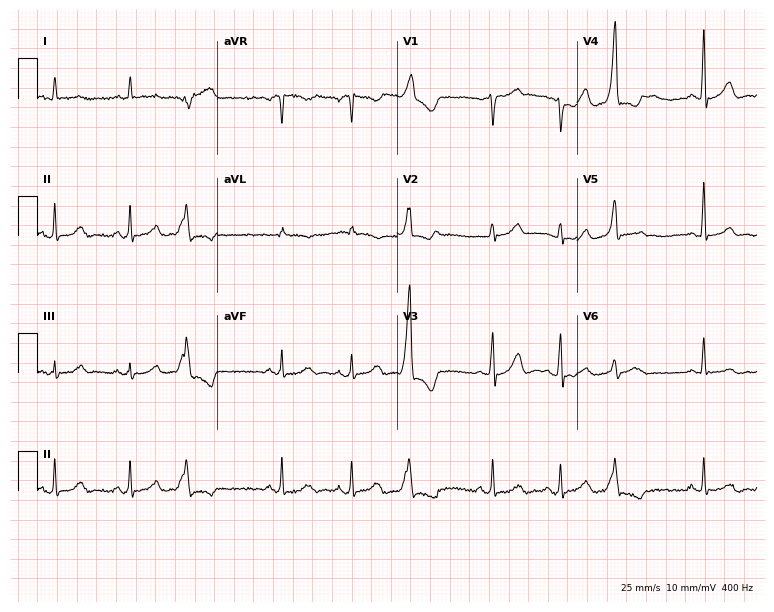
Electrocardiogram (7.3-second recording at 400 Hz), a 59-year-old male. Of the six screened findings (first-degree AV block, right bundle branch block (RBBB), left bundle branch block (LBBB), sinus bradycardia, atrial fibrillation (AF), sinus tachycardia), none is recorded.